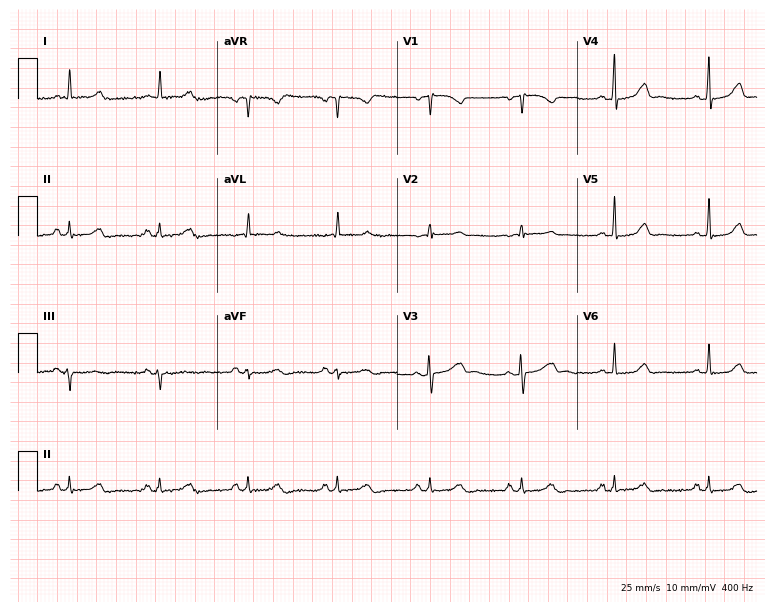
12-lead ECG from a female, 69 years old. Recorded interpretation: within normal limits.